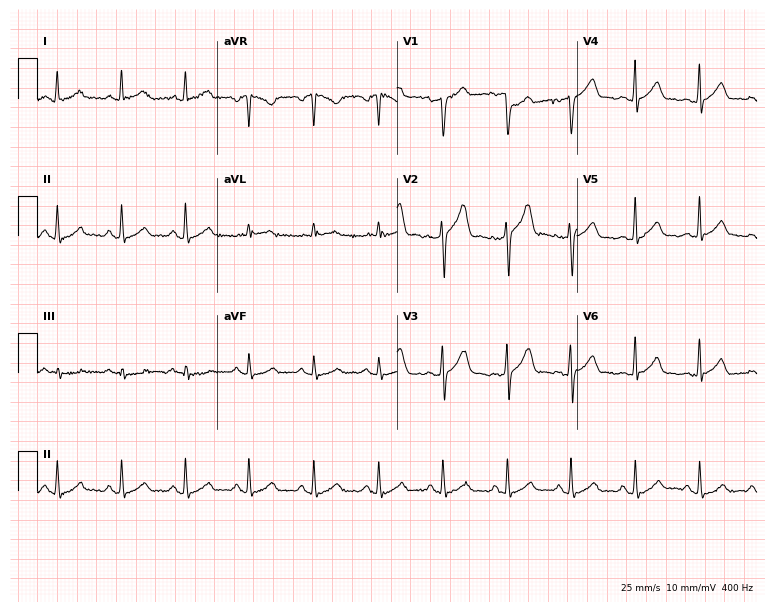
Standard 12-lead ECG recorded from a 54-year-old man (7.3-second recording at 400 Hz). Read as a normal ECG.